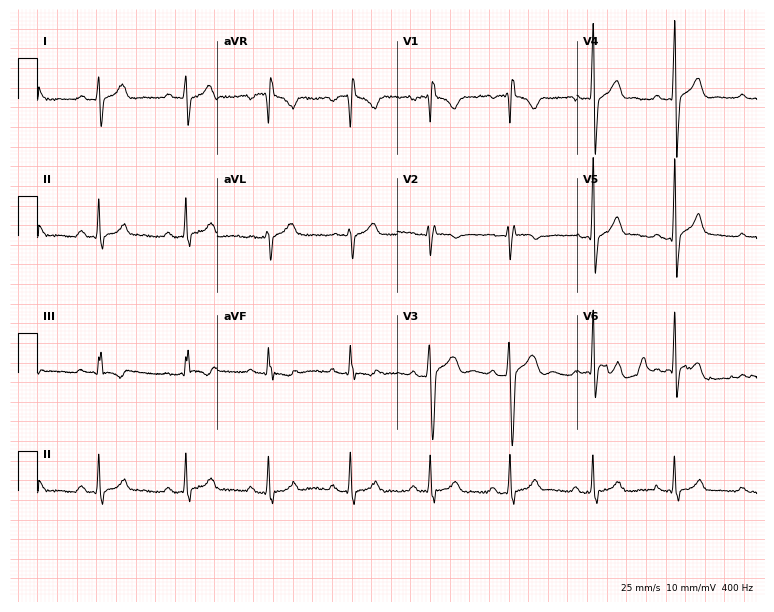
Electrocardiogram (7.3-second recording at 400 Hz), a man, 25 years old. Of the six screened findings (first-degree AV block, right bundle branch block, left bundle branch block, sinus bradycardia, atrial fibrillation, sinus tachycardia), none is recorded. Other findings, if any, are not listed.